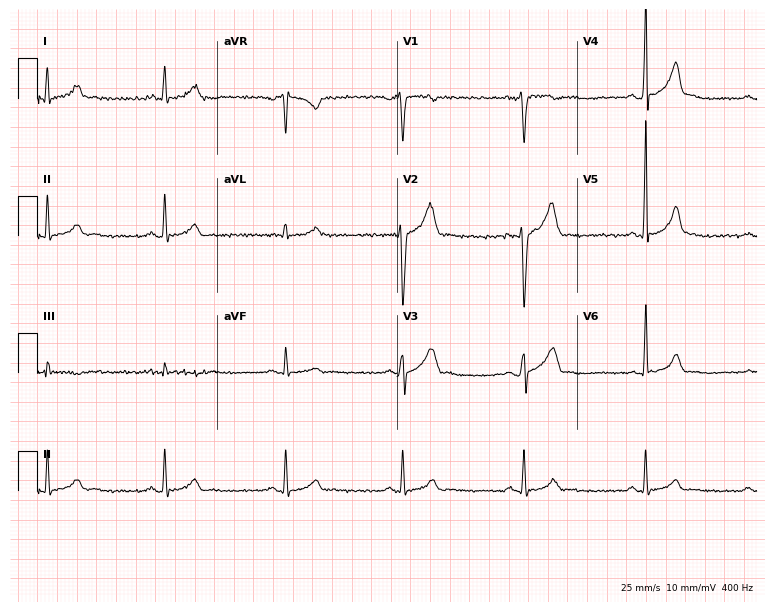
12-lead ECG (7.3-second recording at 400 Hz) from a man, 33 years old. Findings include sinus bradycardia (a sinus rate of 50 beats per minute or less).